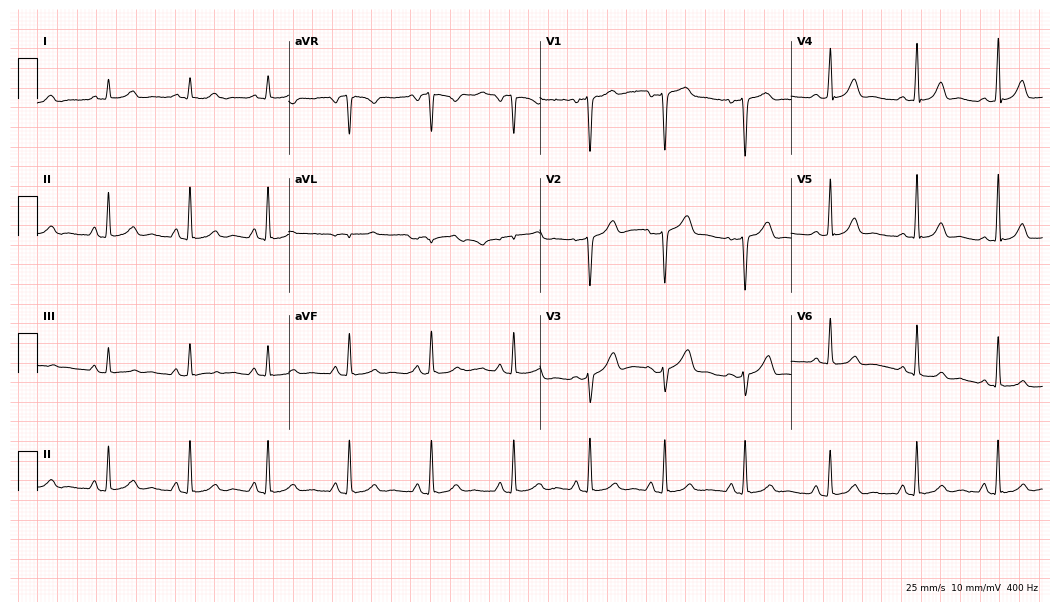
12-lead ECG (10.2-second recording at 400 Hz) from a 39-year-old female. Labelled as a normal ECG.